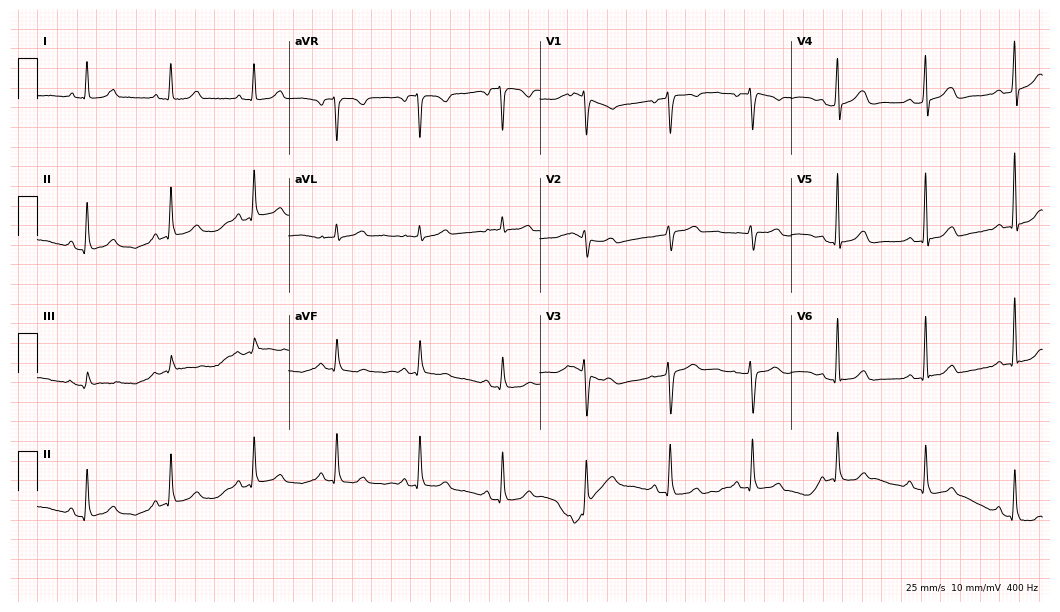
Resting 12-lead electrocardiogram (10.2-second recording at 400 Hz). Patient: a 56-year-old female. Read as a normal ECG.